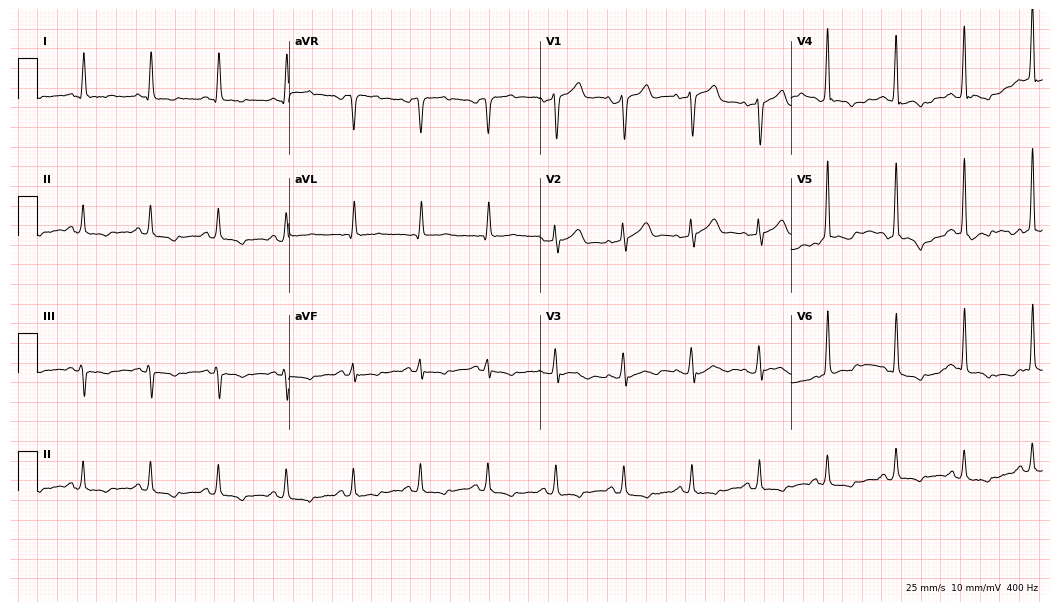
Standard 12-lead ECG recorded from a 63-year-old male patient (10.2-second recording at 400 Hz). None of these six findings is recorded: first-degree AV block, right bundle branch block, left bundle branch block, sinus bradycardia, atrial fibrillation, sinus tachycardia. Findings outside these six are not listed.